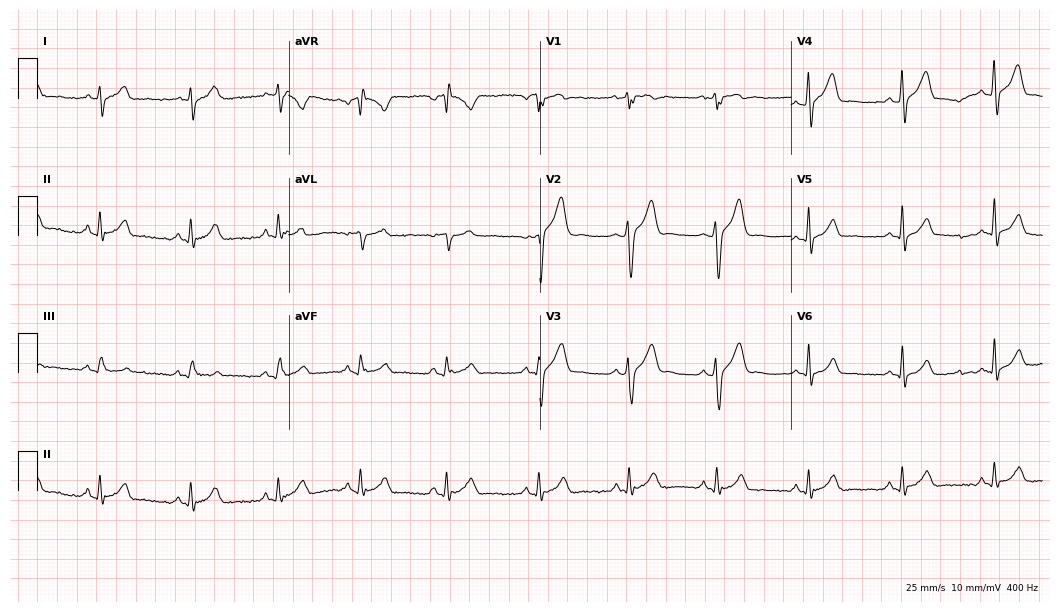
ECG (10.2-second recording at 400 Hz) — a 24-year-old male patient. Screened for six findings — first-degree AV block, right bundle branch block, left bundle branch block, sinus bradycardia, atrial fibrillation, sinus tachycardia — none is recorded. Other findings, if any, are not listed.